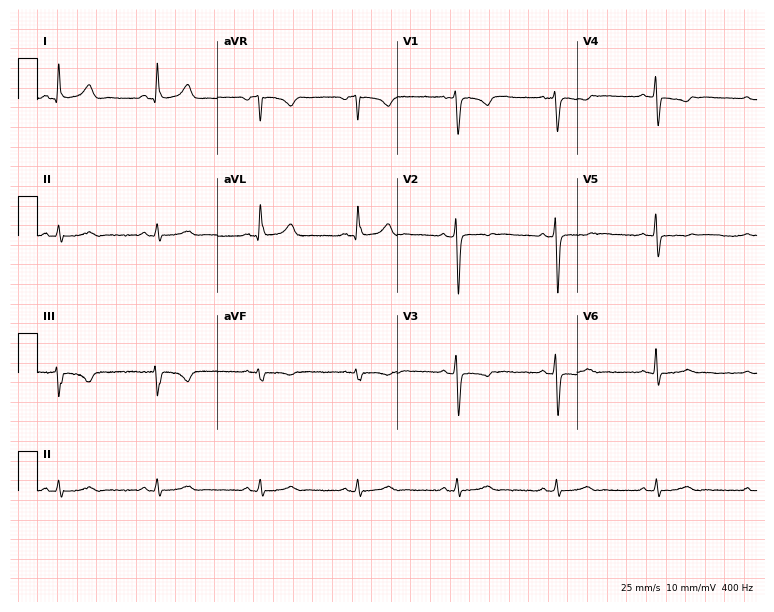
12-lead ECG from a man, 45 years old (7.3-second recording at 400 Hz). No first-degree AV block, right bundle branch block, left bundle branch block, sinus bradycardia, atrial fibrillation or sinus tachycardia recorded for this tracing. Only these six findings were labelled.